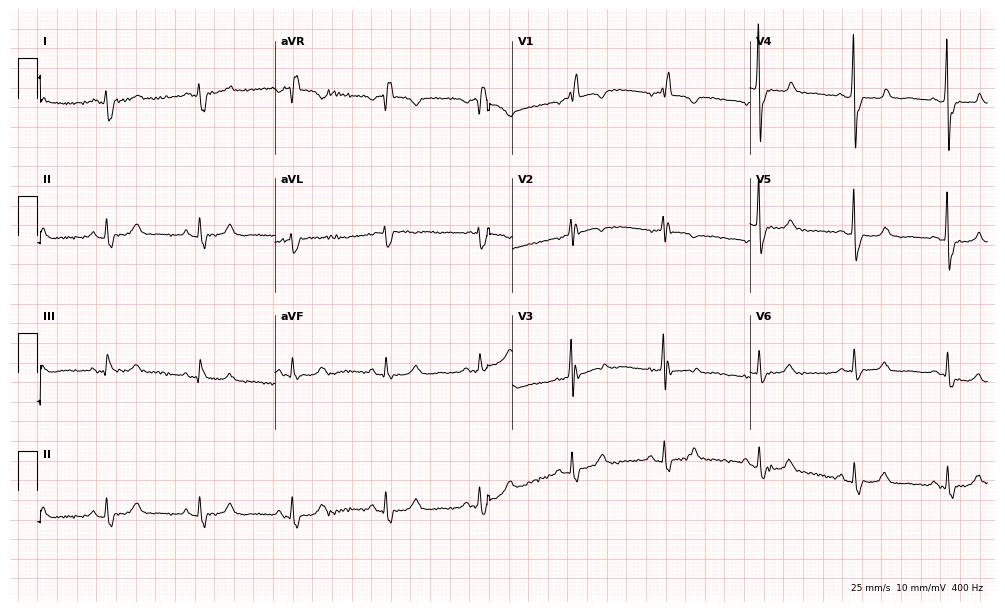
12-lead ECG from a female, 73 years old. Shows right bundle branch block.